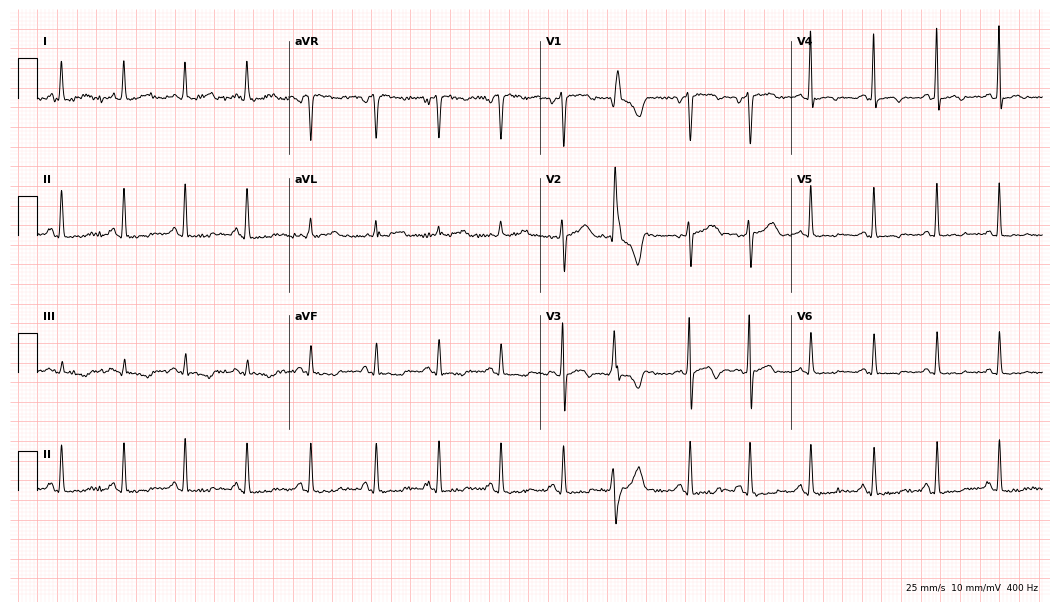
12-lead ECG from a 33-year-old woman. Screened for six findings — first-degree AV block, right bundle branch block (RBBB), left bundle branch block (LBBB), sinus bradycardia, atrial fibrillation (AF), sinus tachycardia — none is recorded. Only these six findings were labelled.